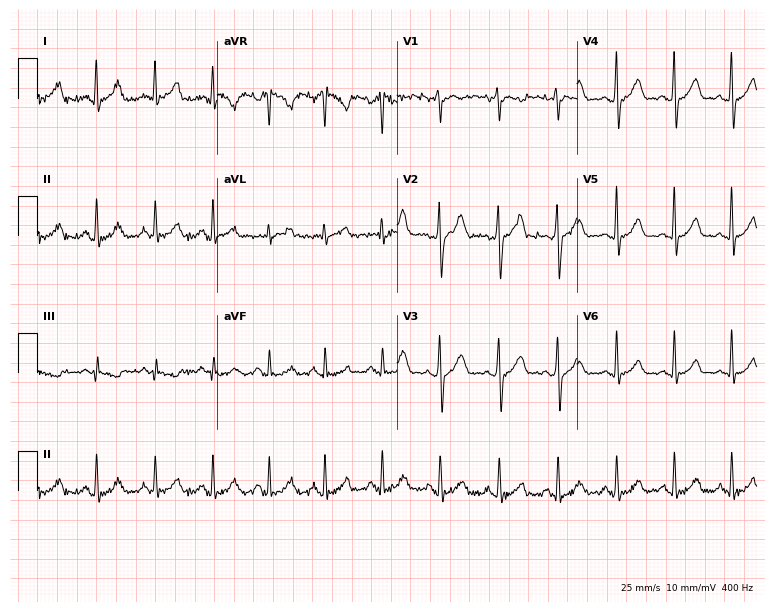
ECG (7.3-second recording at 400 Hz) — a 23-year-old male patient. Findings include sinus tachycardia (a sinus rate of 100 beats per minute or more).